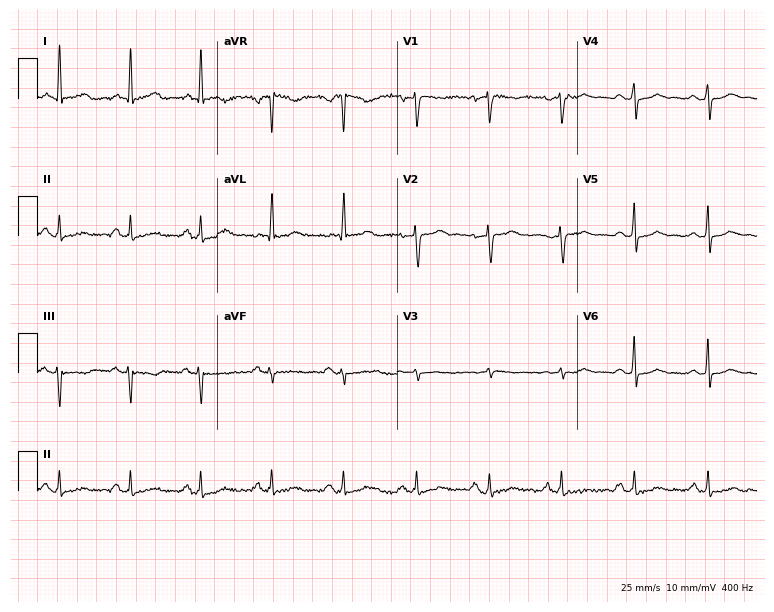
12-lead ECG from a female, 54 years old. Recorded interpretation: within normal limits.